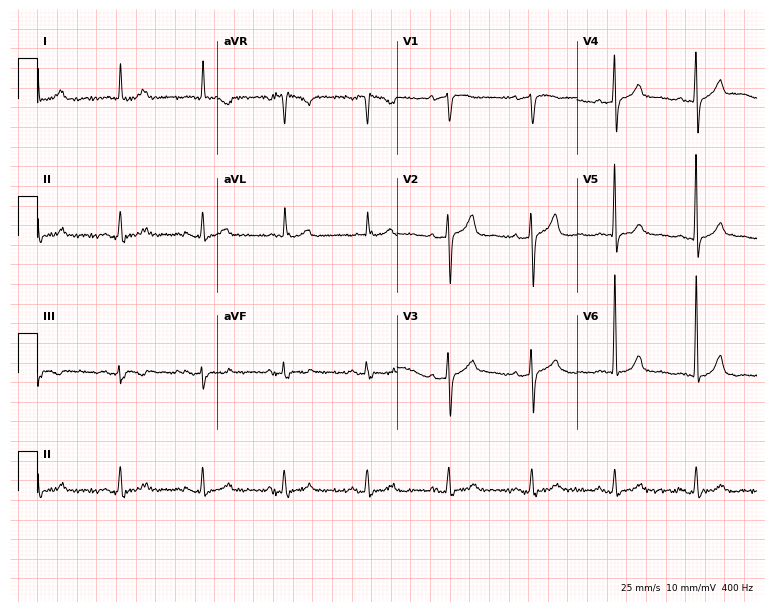
Standard 12-lead ECG recorded from an 84-year-old female patient. None of these six findings is recorded: first-degree AV block, right bundle branch block (RBBB), left bundle branch block (LBBB), sinus bradycardia, atrial fibrillation (AF), sinus tachycardia. Findings outside these six are not listed.